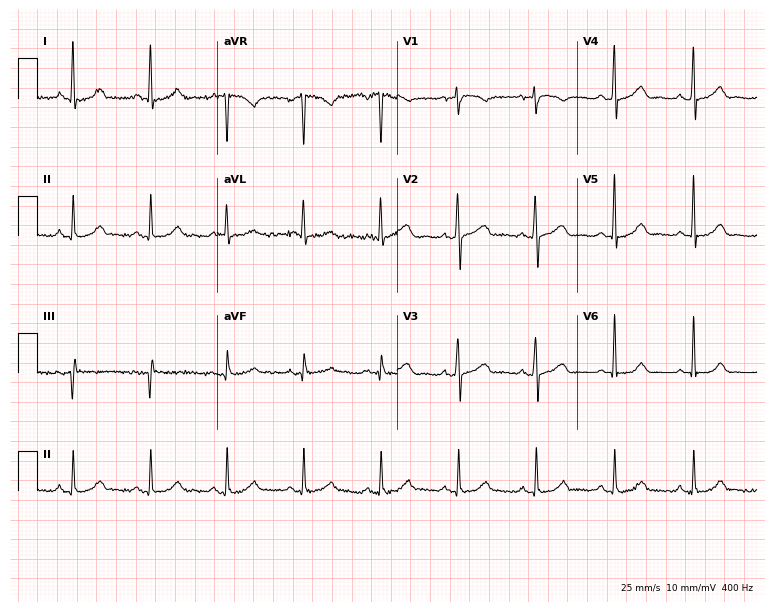
12-lead ECG from a female, 55 years old (7.3-second recording at 400 Hz). Recorded interpretation: within normal limits.